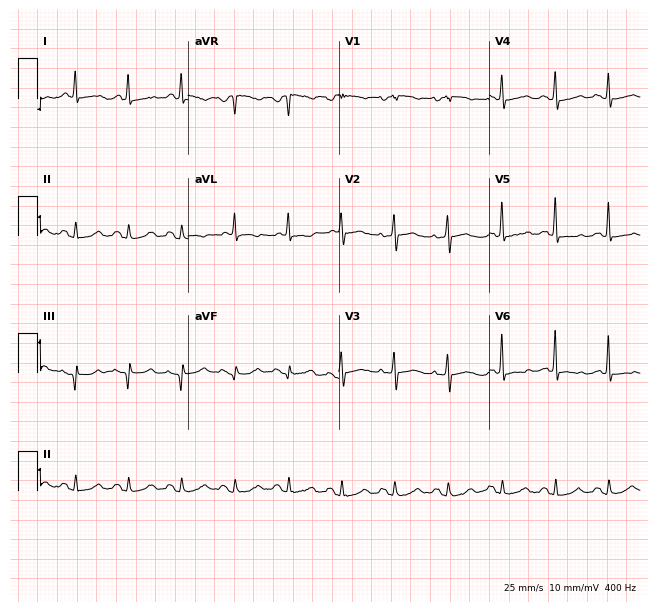
Standard 12-lead ECG recorded from a woman, 70 years old. None of these six findings is recorded: first-degree AV block, right bundle branch block, left bundle branch block, sinus bradycardia, atrial fibrillation, sinus tachycardia.